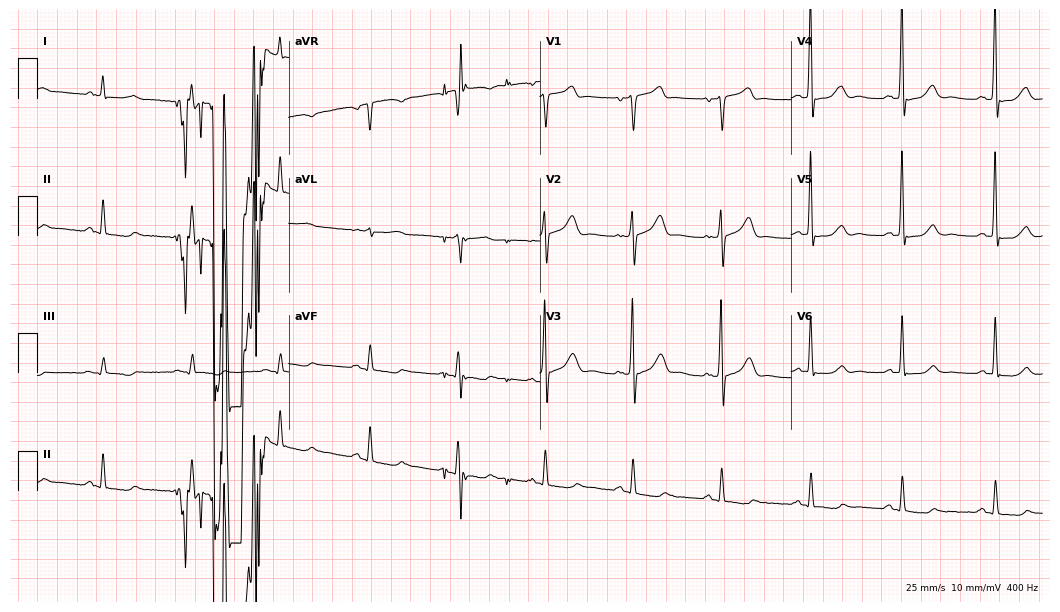
Resting 12-lead electrocardiogram (10.2-second recording at 400 Hz). Patient: a man, 66 years old. None of these six findings is recorded: first-degree AV block, right bundle branch block (RBBB), left bundle branch block (LBBB), sinus bradycardia, atrial fibrillation (AF), sinus tachycardia. Only these six findings were labelled.